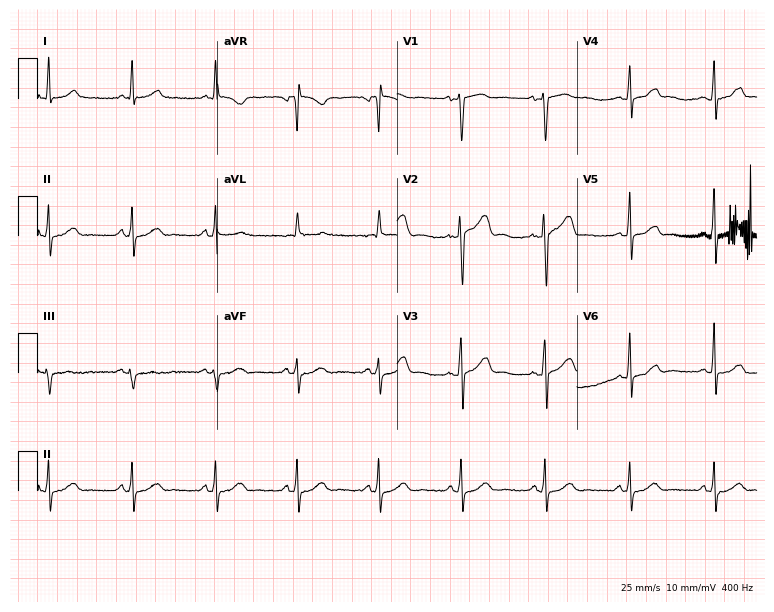
12-lead ECG from a male, 50 years old (7.3-second recording at 400 Hz). No first-degree AV block, right bundle branch block, left bundle branch block, sinus bradycardia, atrial fibrillation or sinus tachycardia recorded for this tracing. Only these six findings were labelled.